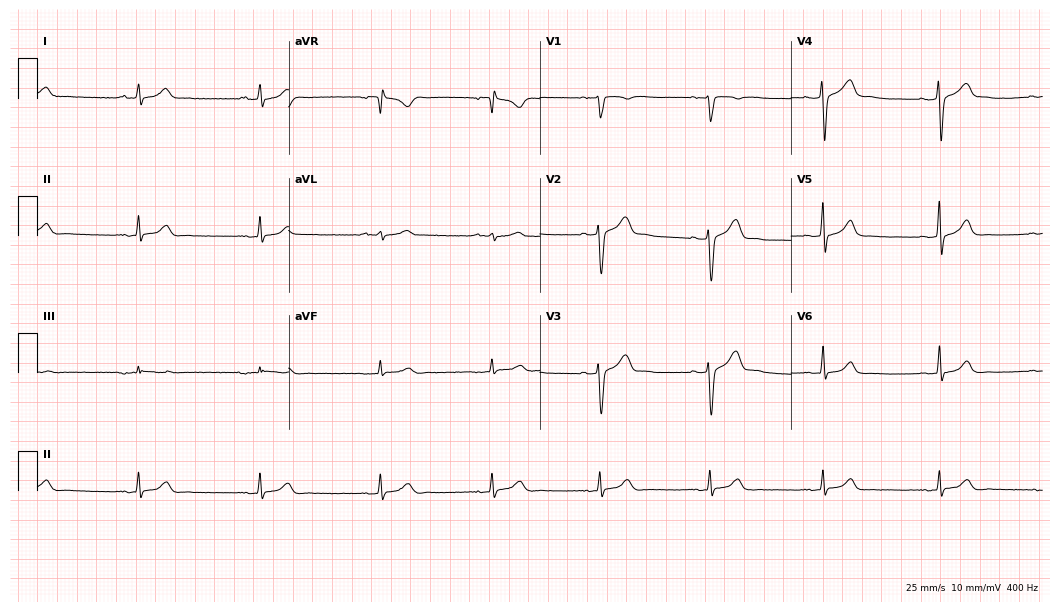
12-lead ECG (10.2-second recording at 400 Hz) from a man, 37 years old. Screened for six findings — first-degree AV block, right bundle branch block, left bundle branch block, sinus bradycardia, atrial fibrillation, sinus tachycardia — none is recorded. Findings outside these six are not listed.